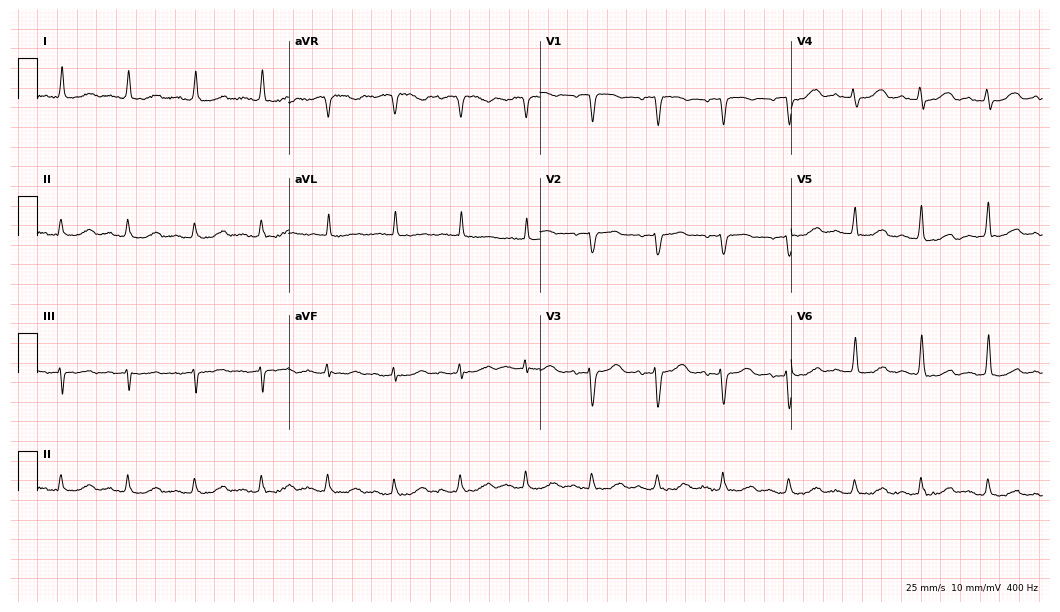
Resting 12-lead electrocardiogram (10.2-second recording at 400 Hz). Patient: a woman, 84 years old. Read as a normal ECG.